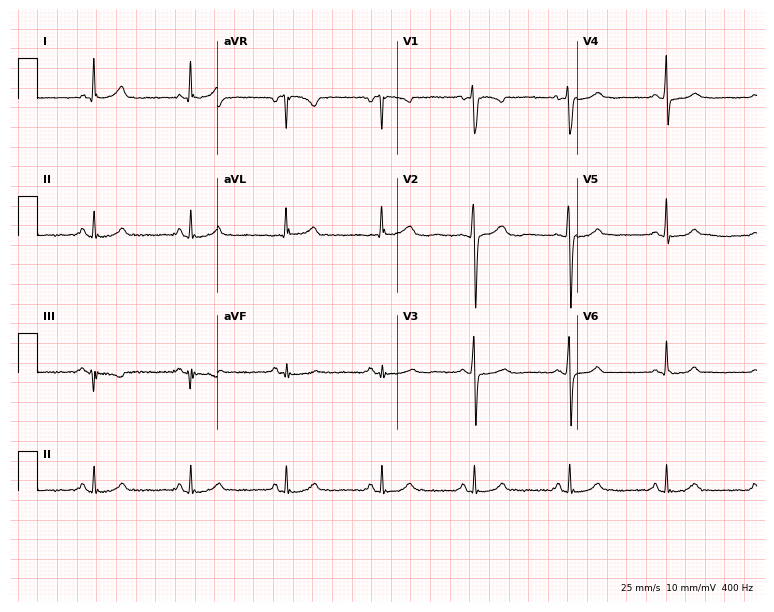
Resting 12-lead electrocardiogram (7.3-second recording at 400 Hz). Patient: a female, 50 years old. None of these six findings is recorded: first-degree AV block, right bundle branch block, left bundle branch block, sinus bradycardia, atrial fibrillation, sinus tachycardia.